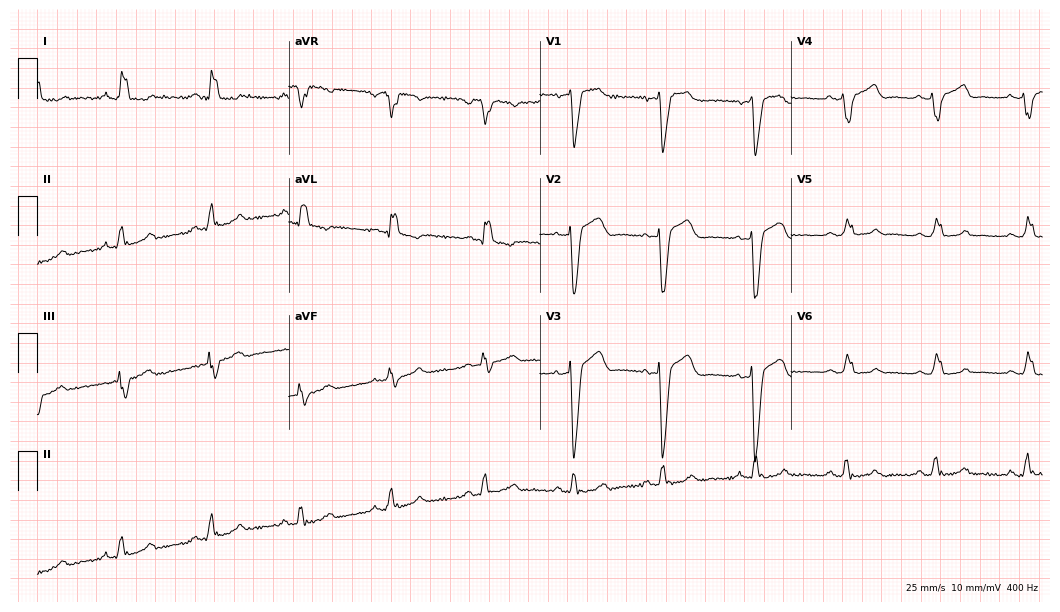
12-lead ECG from a female patient, 61 years old. Findings include left bundle branch block.